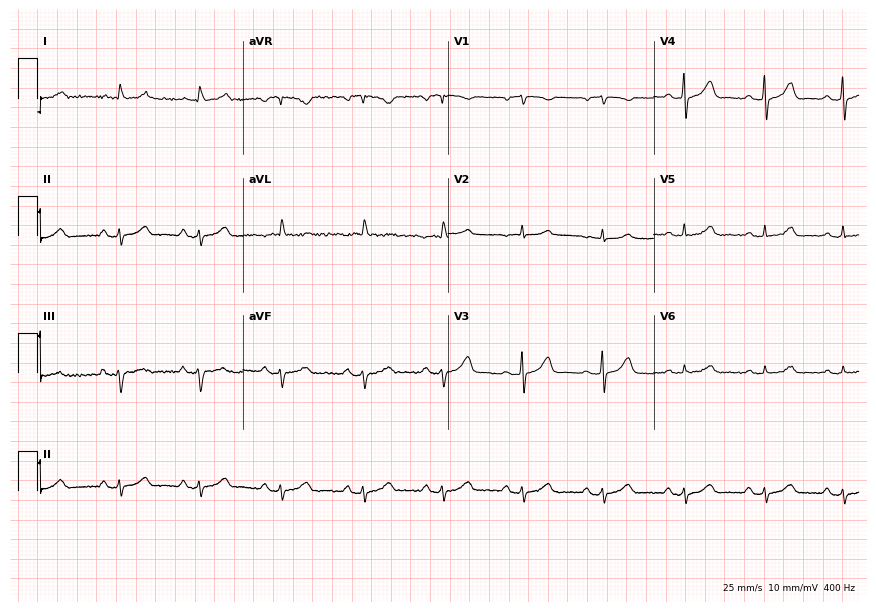
12-lead ECG (8.4-second recording at 400 Hz) from a man, 83 years old. Screened for six findings — first-degree AV block, right bundle branch block, left bundle branch block, sinus bradycardia, atrial fibrillation, sinus tachycardia — none is recorded. Other findings, if any, are not listed.